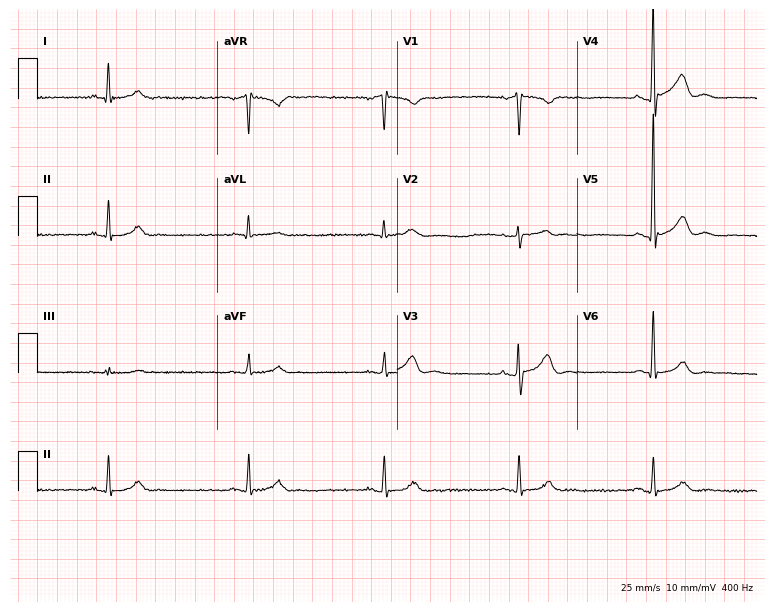
12-lead ECG (7.3-second recording at 400 Hz) from a 68-year-old male. Findings include sinus bradycardia (a sinus rate of 50 beats per minute or less).